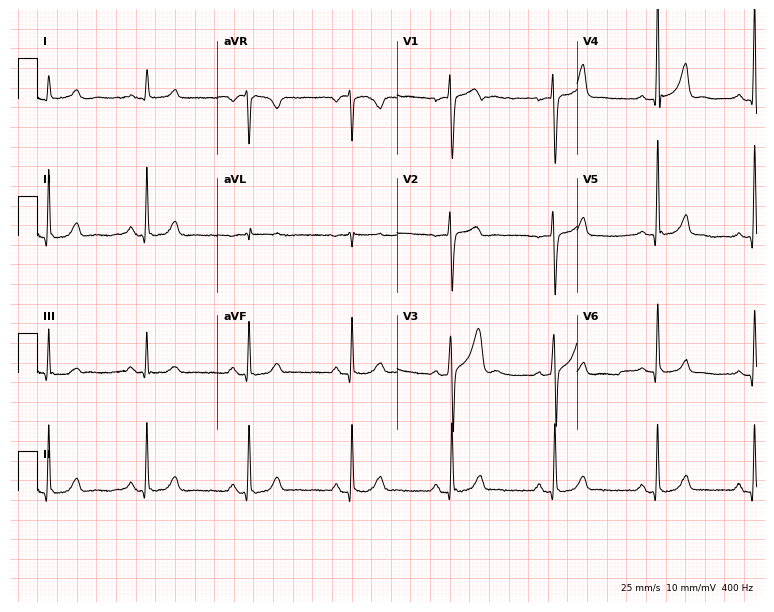
12-lead ECG from a man, 30 years old (7.3-second recording at 400 Hz). Recorded interpretation: within normal limits.